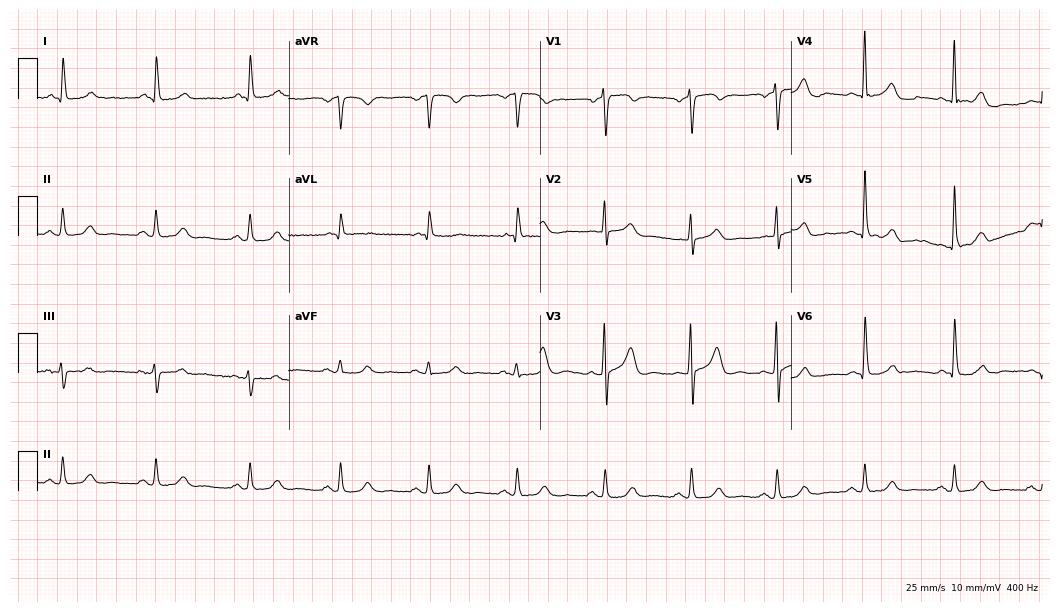
Resting 12-lead electrocardiogram. Patient: a 71-year-old male. Read as a normal ECG.